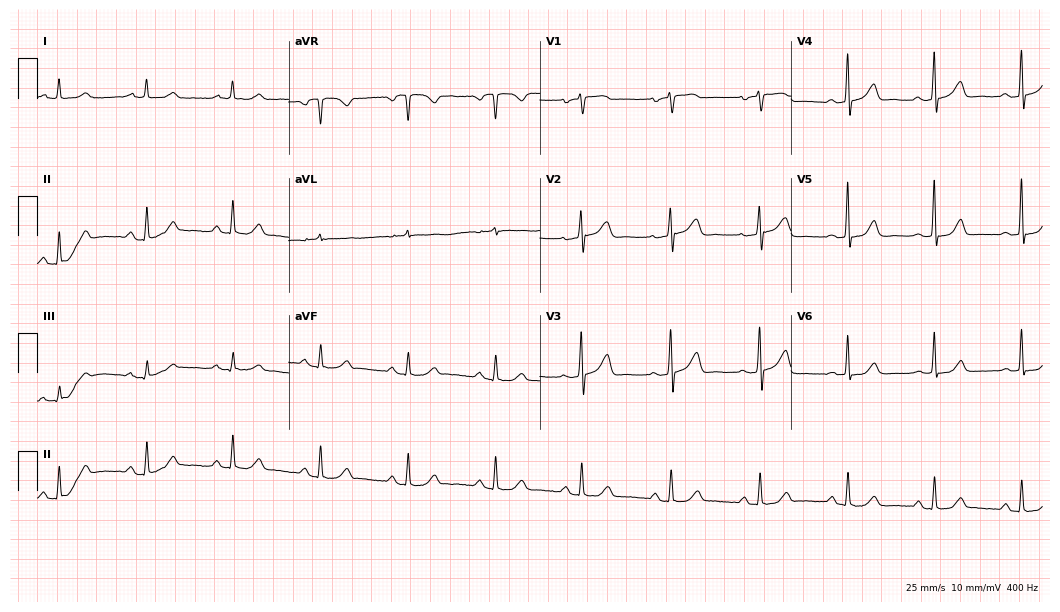
12-lead ECG from a female patient, 59 years old. No first-degree AV block, right bundle branch block (RBBB), left bundle branch block (LBBB), sinus bradycardia, atrial fibrillation (AF) or sinus tachycardia recorded for this tracing.